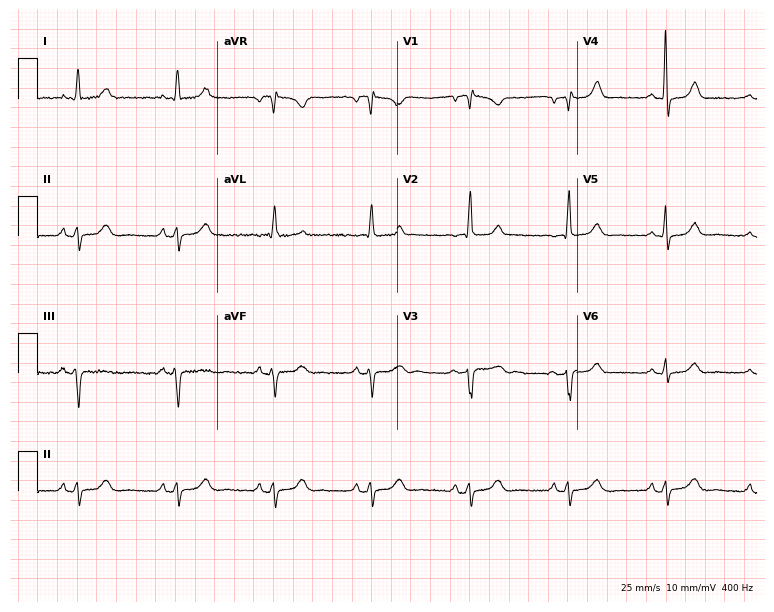
Resting 12-lead electrocardiogram (7.3-second recording at 400 Hz). Patient: a female, 69 years old. None of these six findings is recorded: first-degree AV block, right bundle branch block, left bundle branch block, sinus bradycardia, atrial fibrillation, sinus tachycardia. Findings outside these six are not listed.